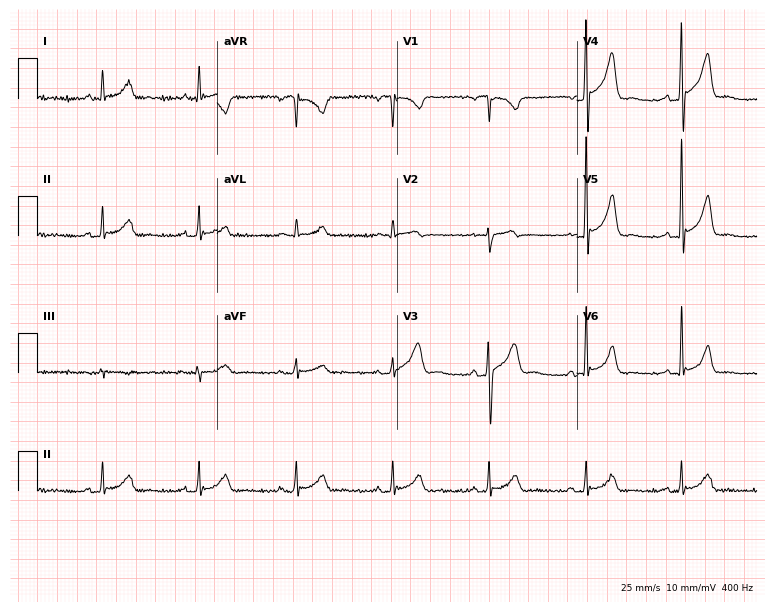
12-lead ECG from a 64-year-old male patient. Recorded interpretation: within normal limits.